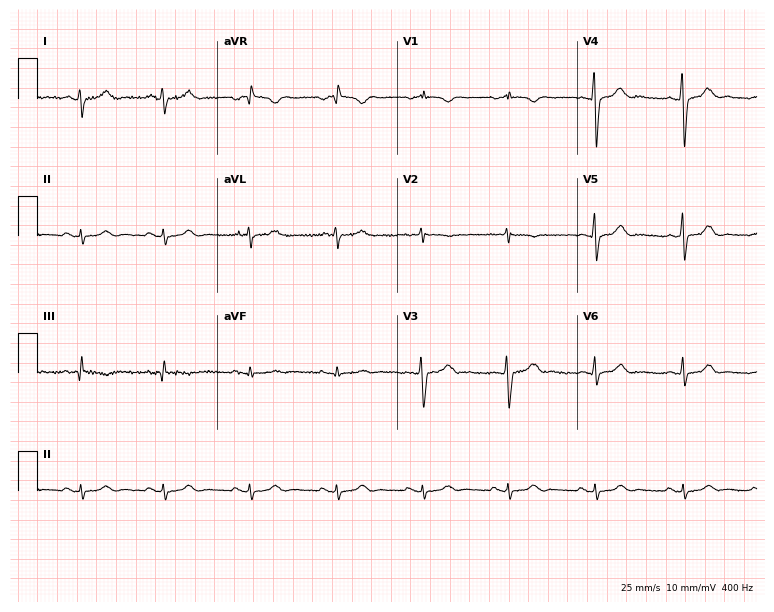
ECG (7.3-second recording at 400 Hz) — a female, 18 years old. Screened for six findings — first-degree AV block, right bundle branch block (RBBB), left bundle branch block (LBBB), sinus bradycardia, atrial fibrillation (AF), sinus tachycardia — none is recorded.